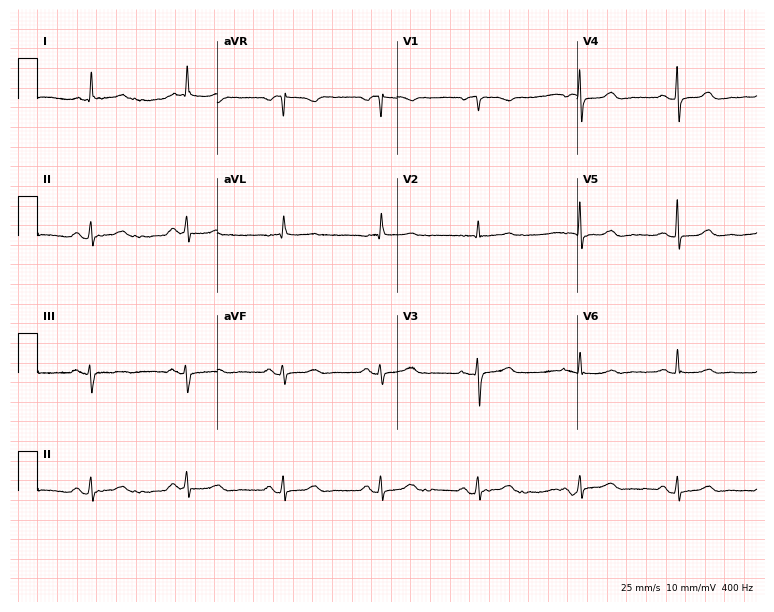
ECG — an 83-year-old female patient. Screened for six findings — first-degree AV block, right bundle branch block, left bundle branch block, sinus bradycardia, atrial fibrillation, sinus tachycardia — none is recorded.